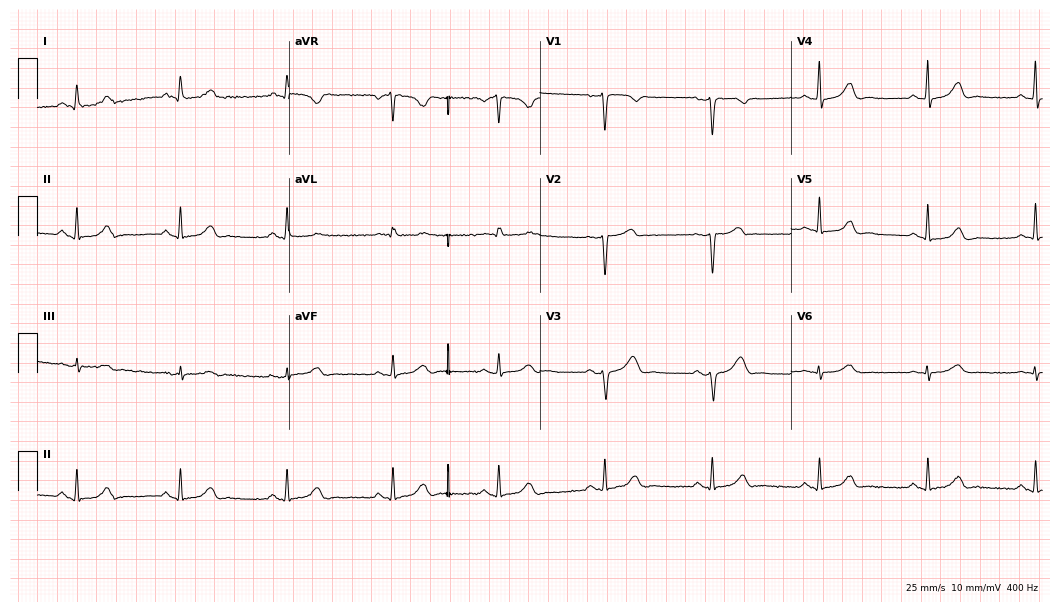
Standard 12-lead ECG recorded from a 48-year-old female patient (10.2-second recording at 400 Hz). Read as a normal ECG.